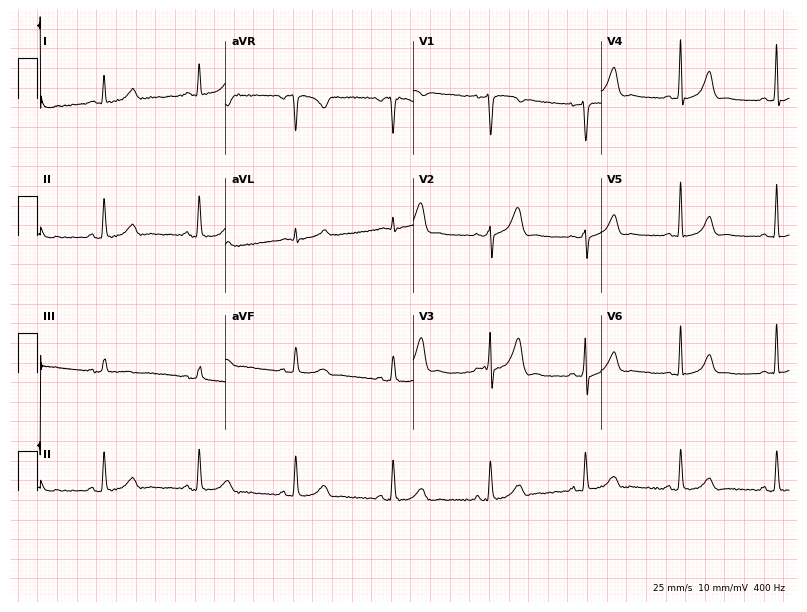
Standard 12-lead ECG recorded from a 62-year-old man (7.7-second recording at 400 Hz). Read as a normal ECG.